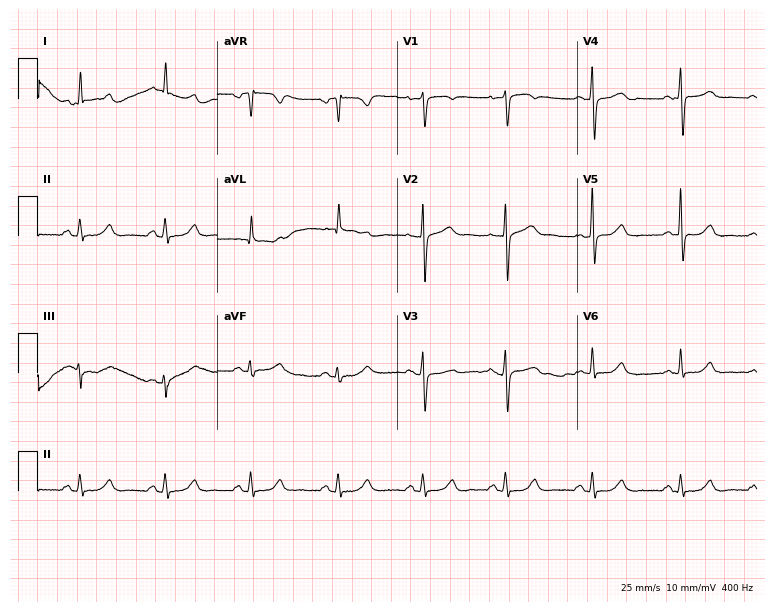
12-lead ECG from a female patient, 61 years old. Labelled as a normal ECG.